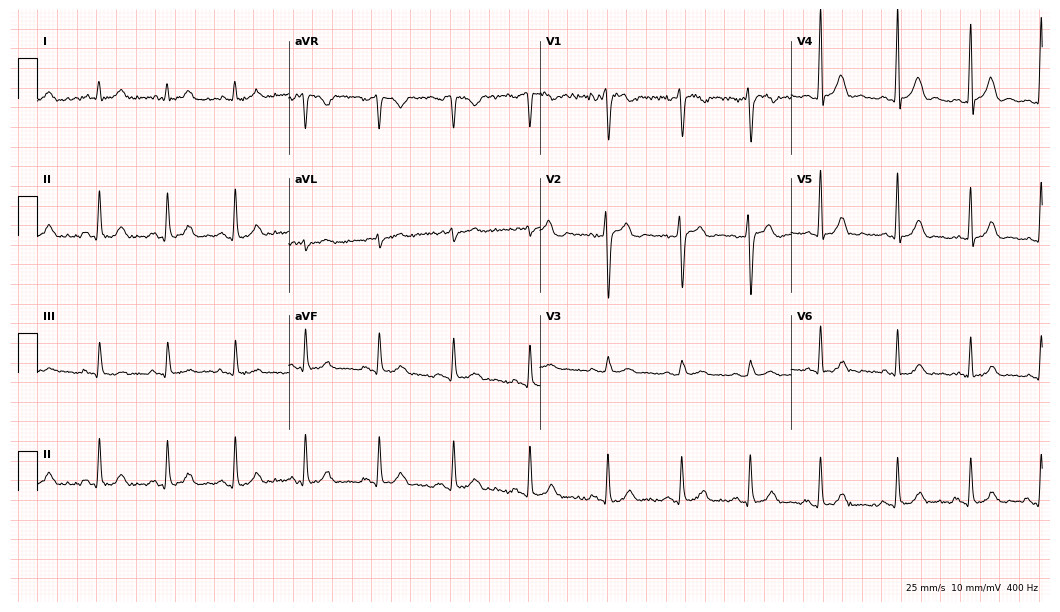
Resting 12-lead electrocardiogram (10.2-second recording at 400 Hz). Patient: a male, 20 years old. Read as a normal ECG.